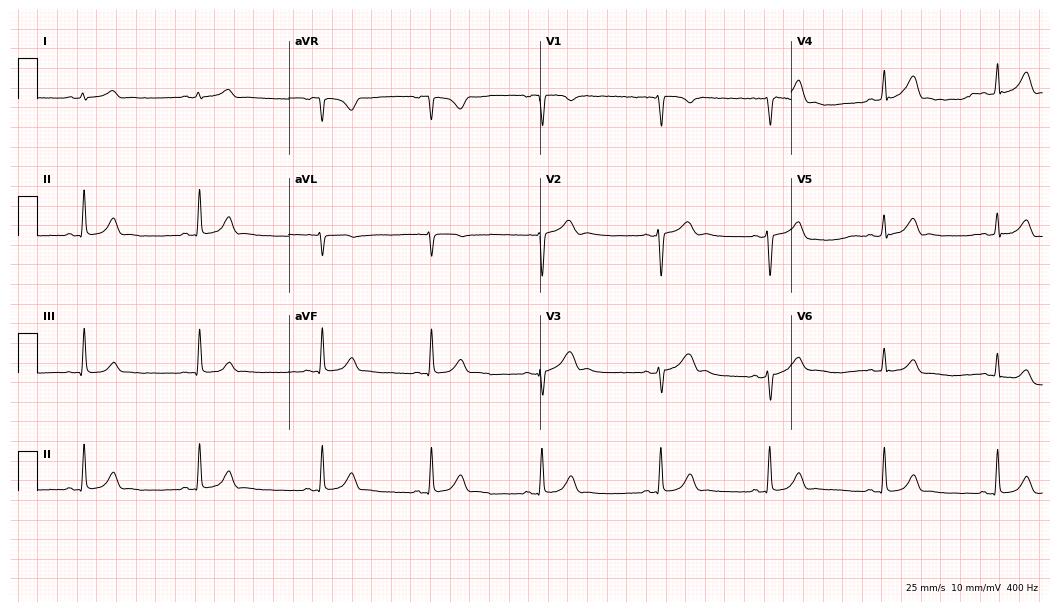
12-lead ECG from an 18-year-old woman. Screened for six findings — first-degree AV block, right bundle branch block, left bundle branch block, sinus bradycardia, atrial fibrillation, sinus tachycardia — none is recorded.